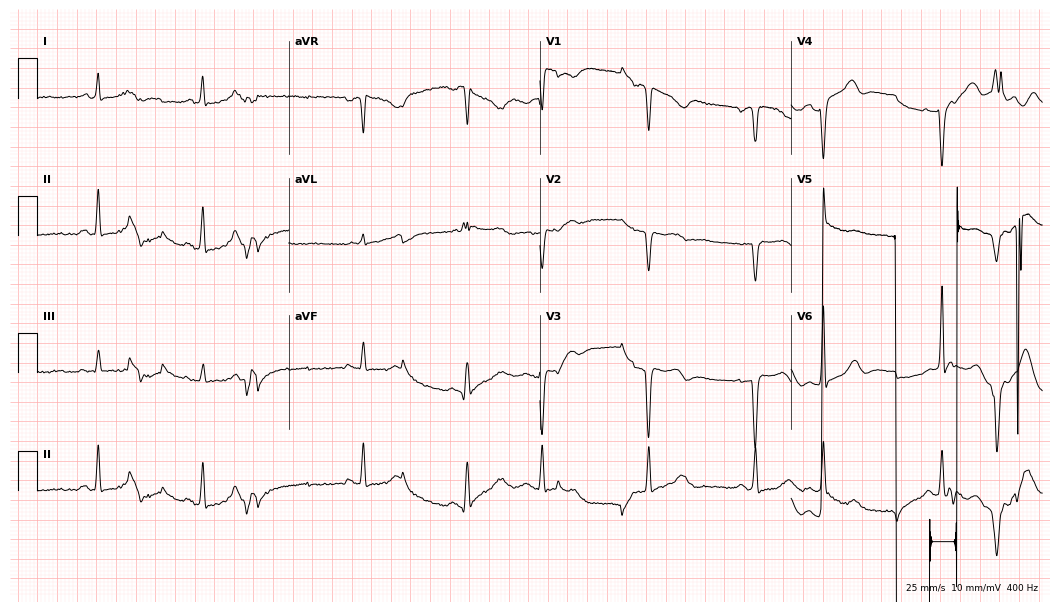
Electrocardiogram (10.2-second recording at 400 Hz), a 73-year-old female. Of the six screened findings (first-degree AV block, right bundle branch block, left bundle branch block, sinus bradycardia, atrial fibrillation, sinus tachycardia), none is recorded. Only these six findings were labelled.